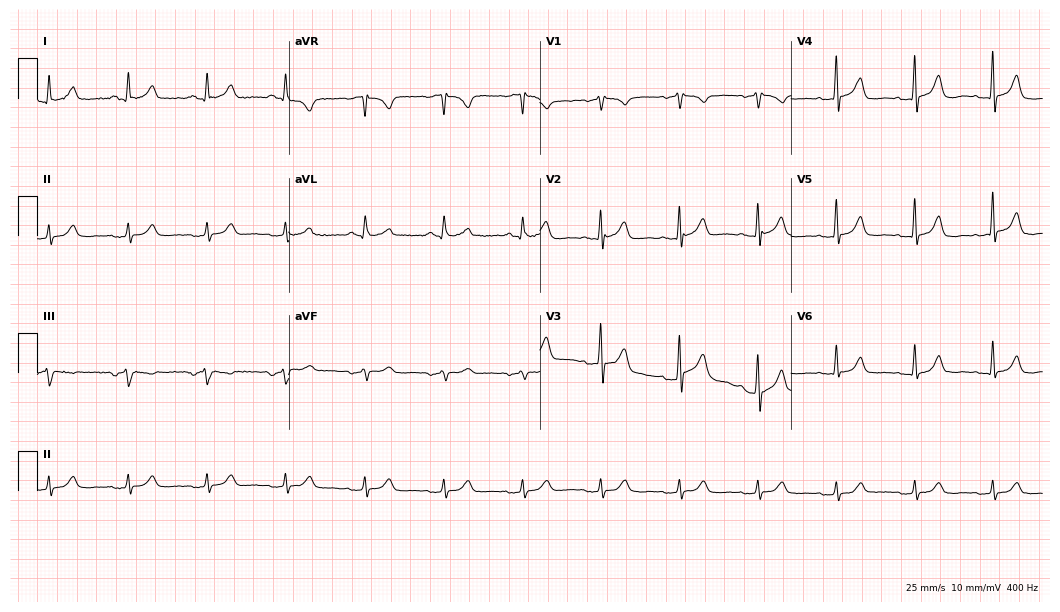
12-lead ECG from a 60-year-old male. Recorded interpretation: within normal limits.